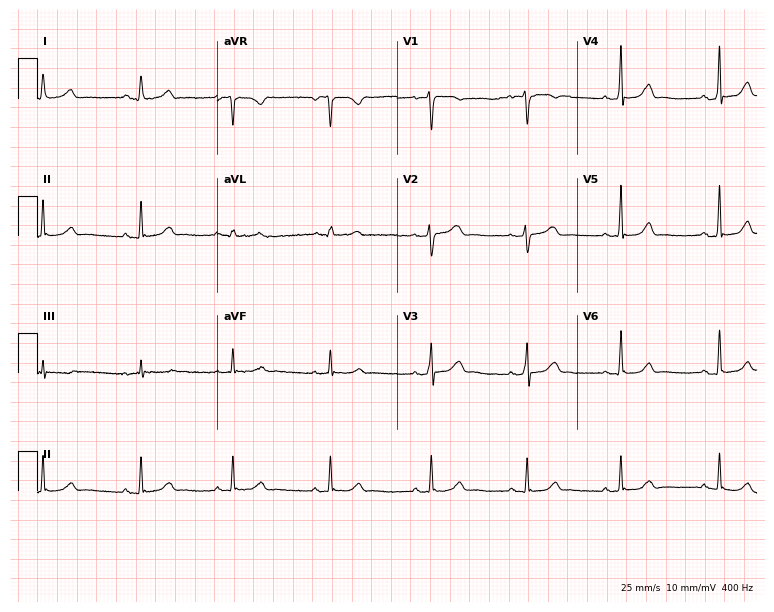
Electrocardiogram (7.3-second recording at 400 Hz), a female patient, 44 years old. Overall reading on record: normal ECG.